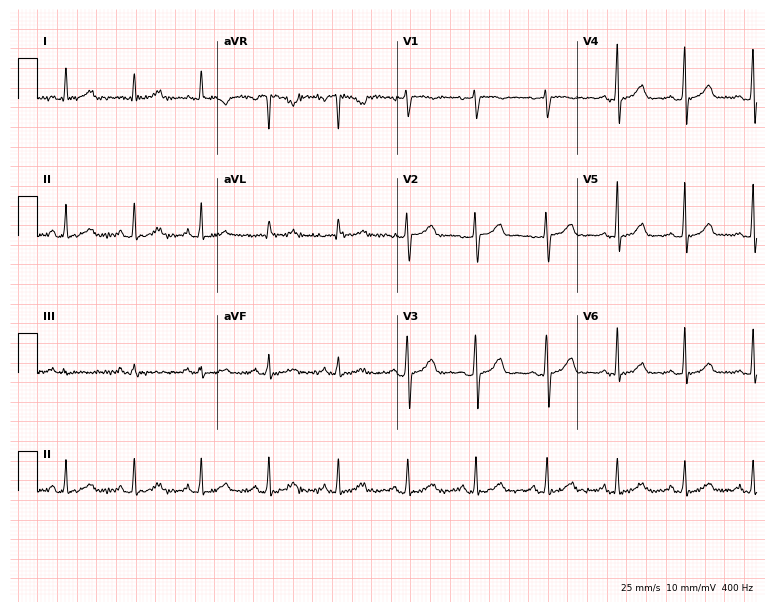
Resting 12-lead electrocardiogram. Patient: a female, 38 years old. Read as a normal ECG.